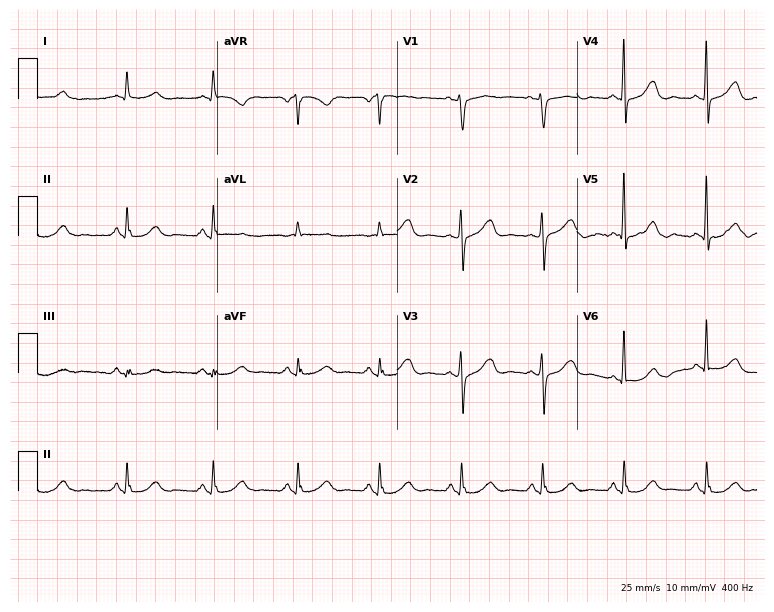
12-lead ECG from a male, 82 years old (7.3-second recording at 400 Hz). Recorded interpretation: within normal limits.